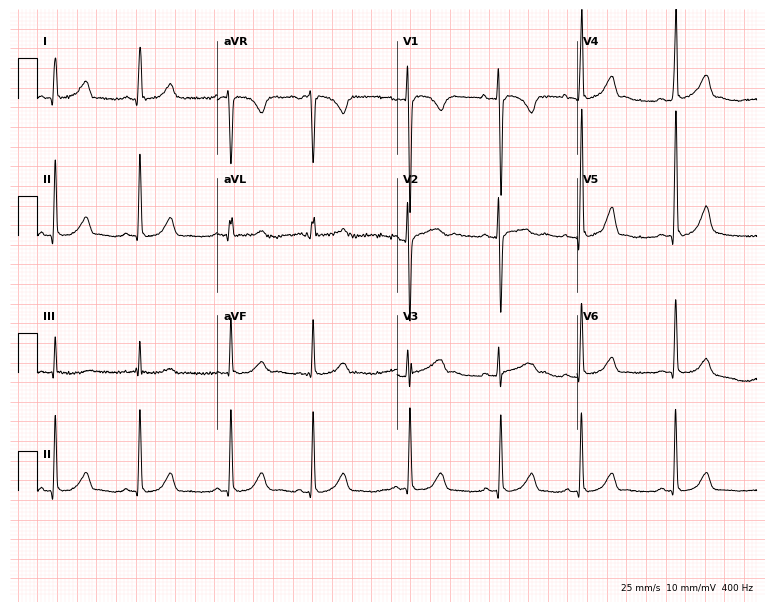
ECG (7.3-second recording at 400 Hz) — a 21-year-old female. Screened for six findings — first-degree AV block, right bundle branch block, left bundle branch block, sinus bradycardia, atrial fibrillation, sinus tachycardia — none is recorded.